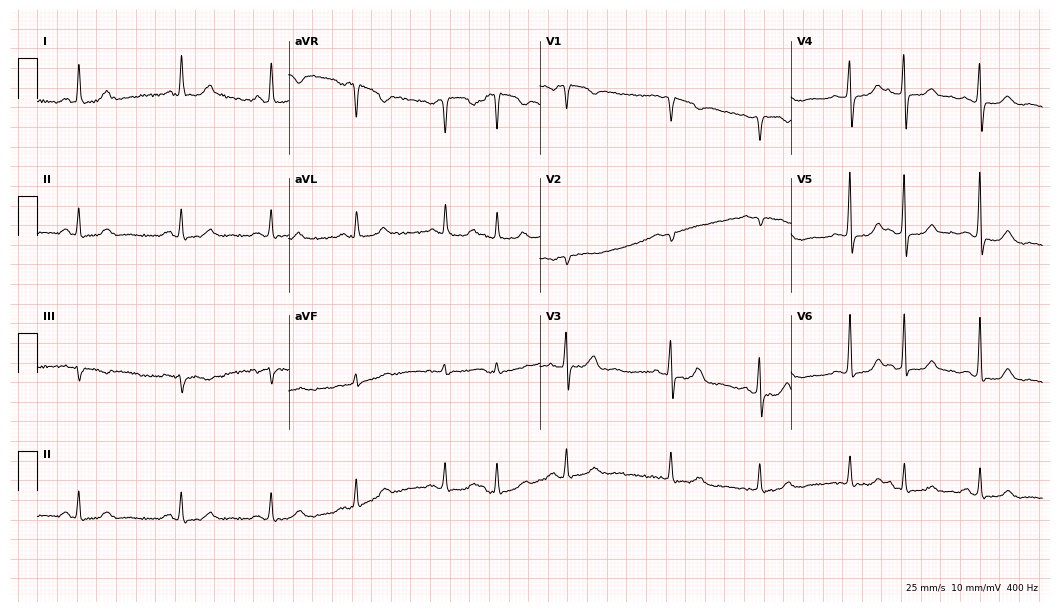
12-lead ECG (10.2-second recording at 400 Hz) from a 75-year-old female. Findings include atrial fibrillation.